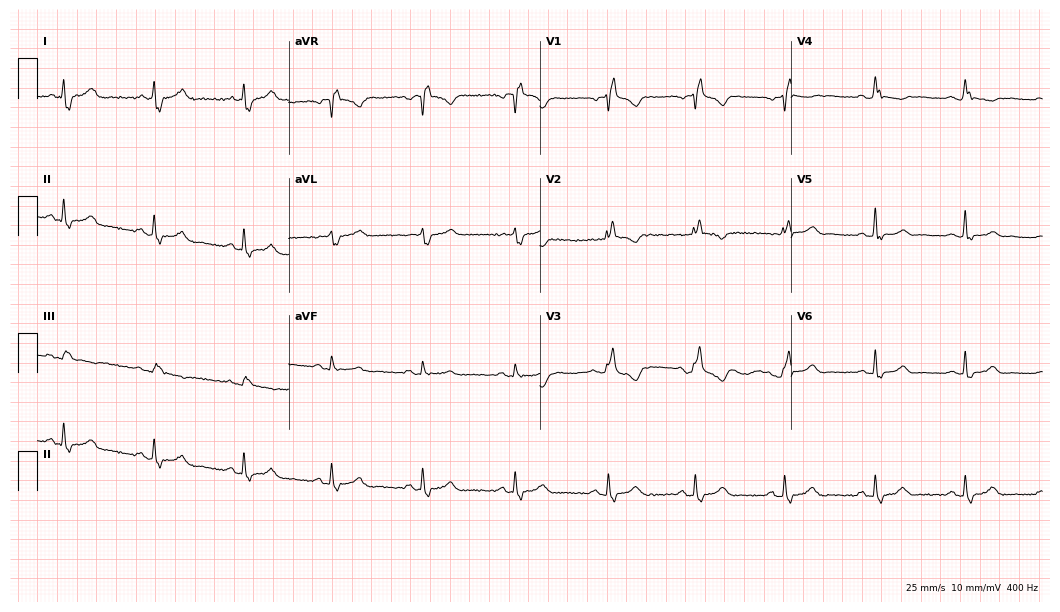
12-lead ECG from a woman, 68 years old (10.2-second recording at 400 Hz). No first-degree AV block, right bundle branch block, left bundle branch block, sinus bradycardia, atrial fibrillation or sinus tachycardia recorded for this tracing.